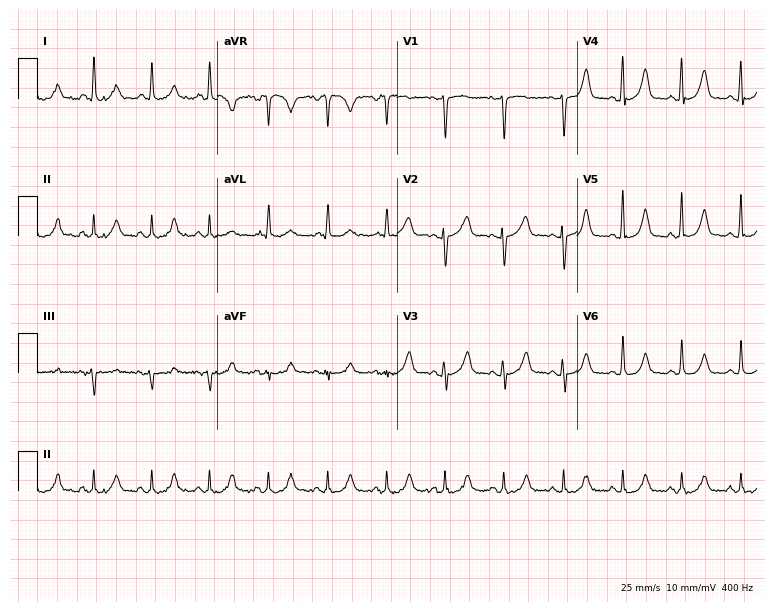
12-lead ECG from a female patient, 52 years old (7.3-second recording at 400 Hz). Shows sinus tachycardia (a sinus rate of 100 beats per minute or more).